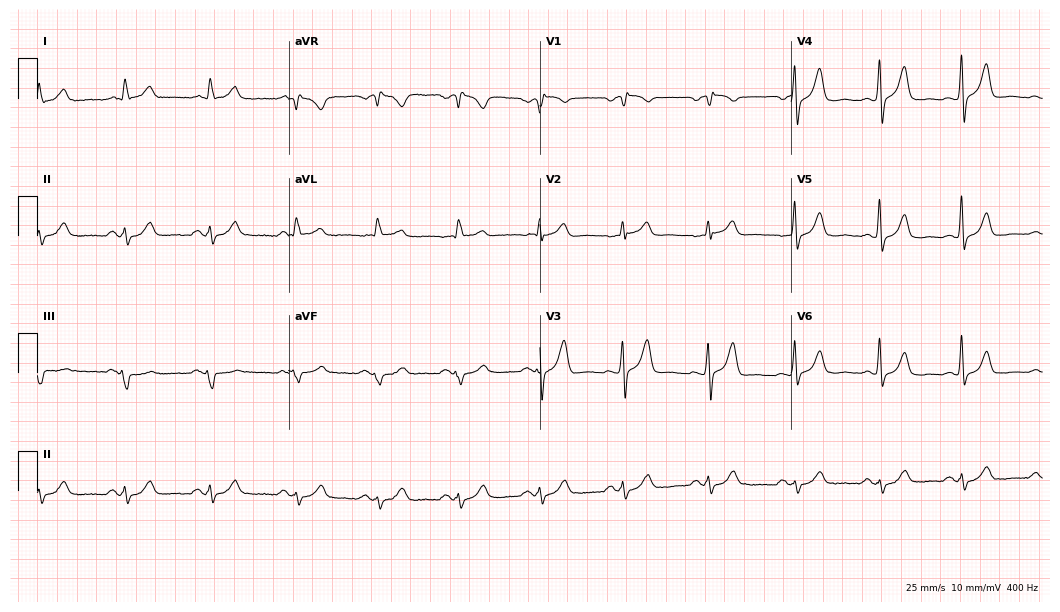
Standard 12-lead ECG recorded from a male, 66 years old (10.2-second recording at 400 Hz). None of these six findings is recorded: first-degree AV block, right bundle branch block (RBBB), left bundle branch block (LBBB), sinus bradycardia, atrial fibrillation (AF), sinus tachycardia. Other findings, if any, are not listed.